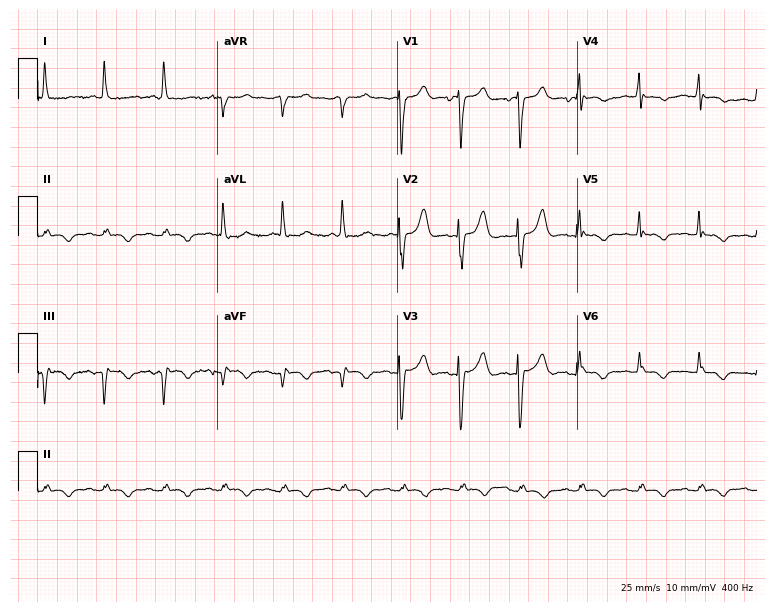
Electrocardiogram (7.3-second recording at 400 Hz), a 77-year-old woman. Of the six screened findings (first-degree AV block, right bundle branch block, left bundle branch block, sinus bradycardia, atrial fibrillation, sinus tachycardia), none is recorded.